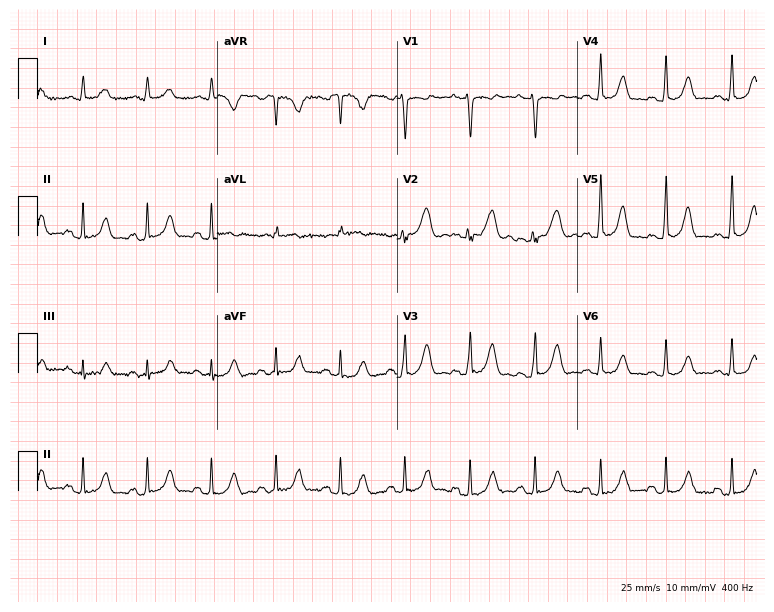
12-lead ECG from a 36-year-old woman. No first-degree AV block, right bundle branch block, left bundle branch block, sinus bradycardia, atrial fibrillation or sinus tachycardia recorded for this tracing. Other findings, if any, are not listed.